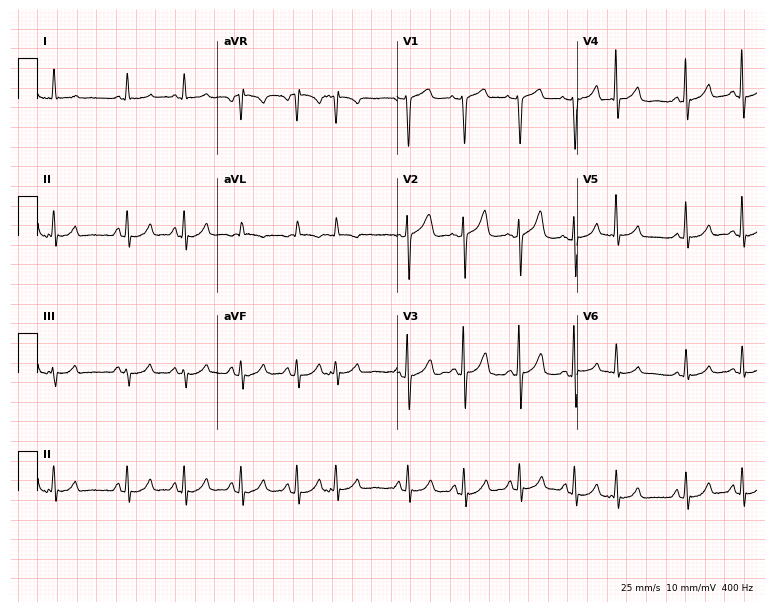
Standard 12-lead ECG recorded from a 69-year-old man (7.3-second recording at 400 Hz). Read as a normal ECG.